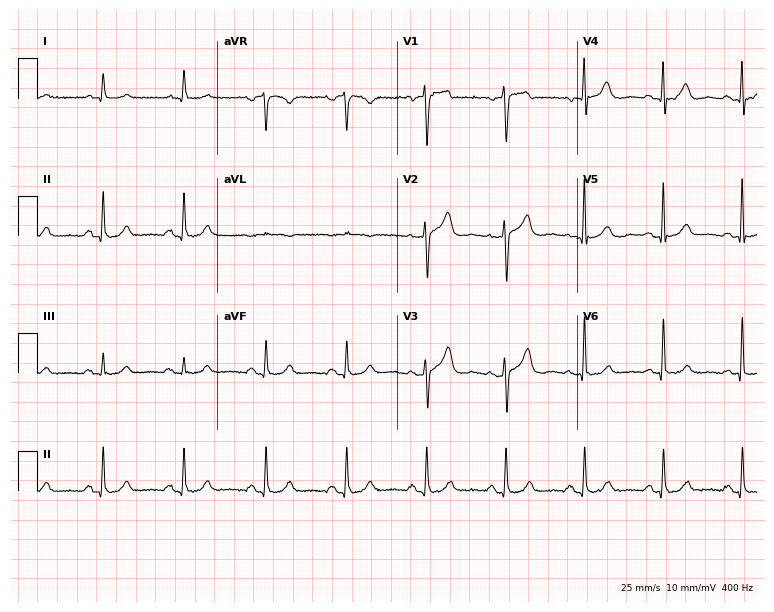
ECG (7.3-second recording at 400 Hz) — a man, 75 years old. Labelled as a normal ECG.